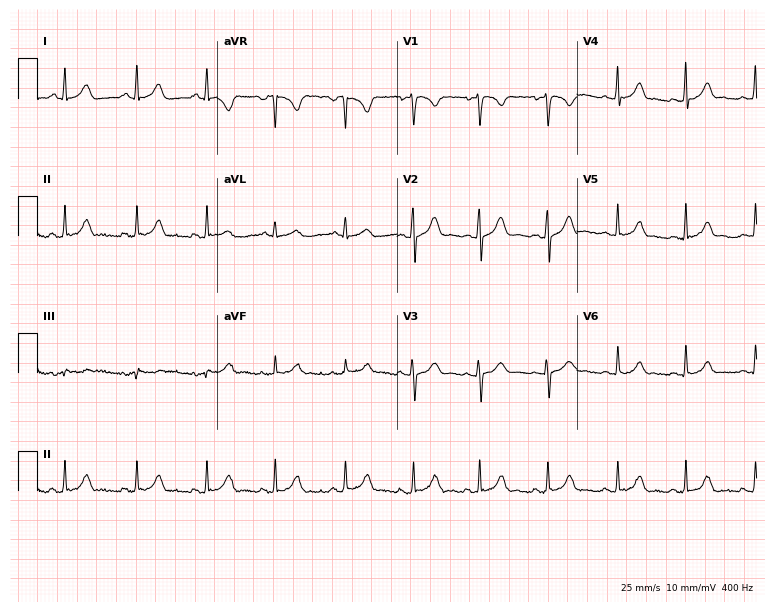
12-lead ECG from a woman, 19 years old (7.3-second recording at 400 Hz). Recorded interpretation: within normal limits.